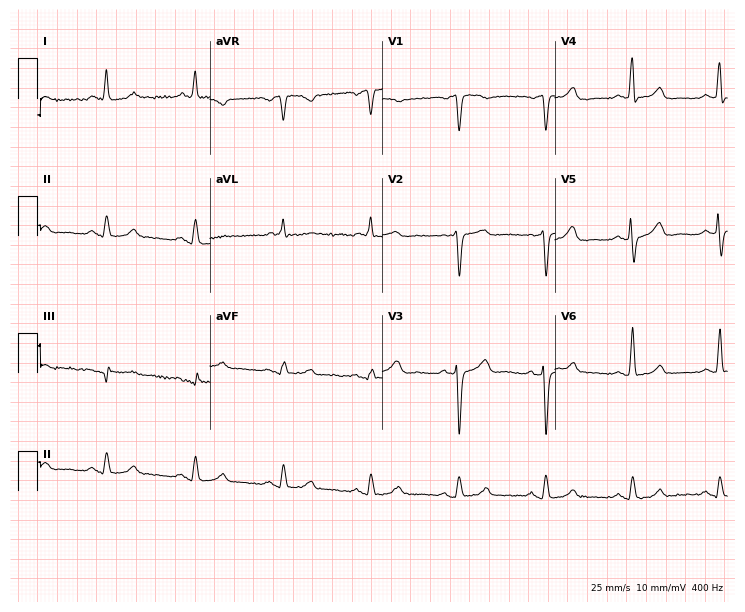
12-lead ECG (7-second recording at 400 Hz) from a 79-year-old male. Labelled as a normal ECG.